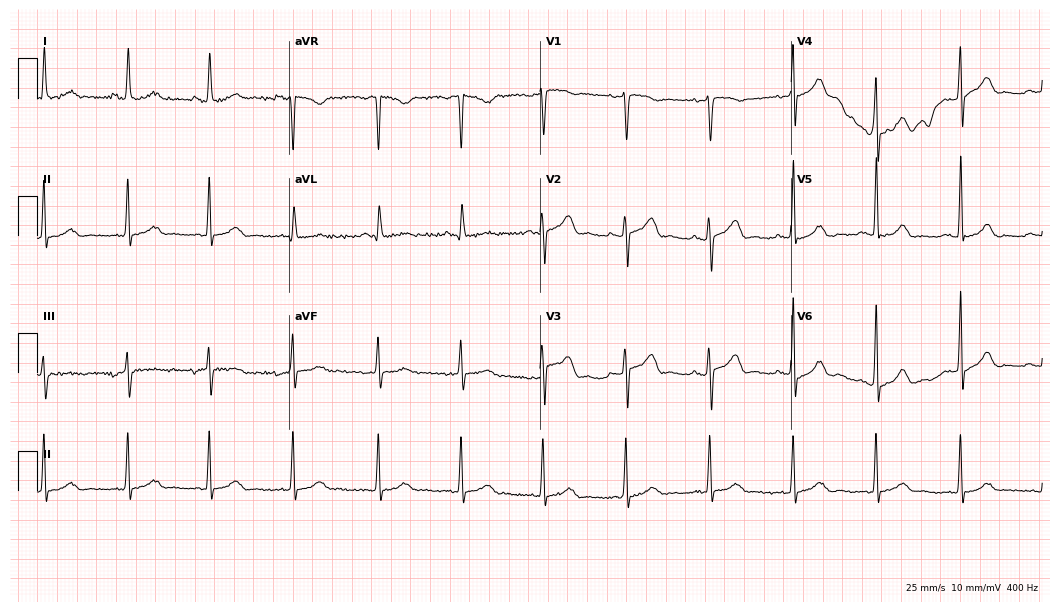
ECG (10.2-second recording at 400 Hz) — a 23-year-old female. Labelled as a normal ECG.